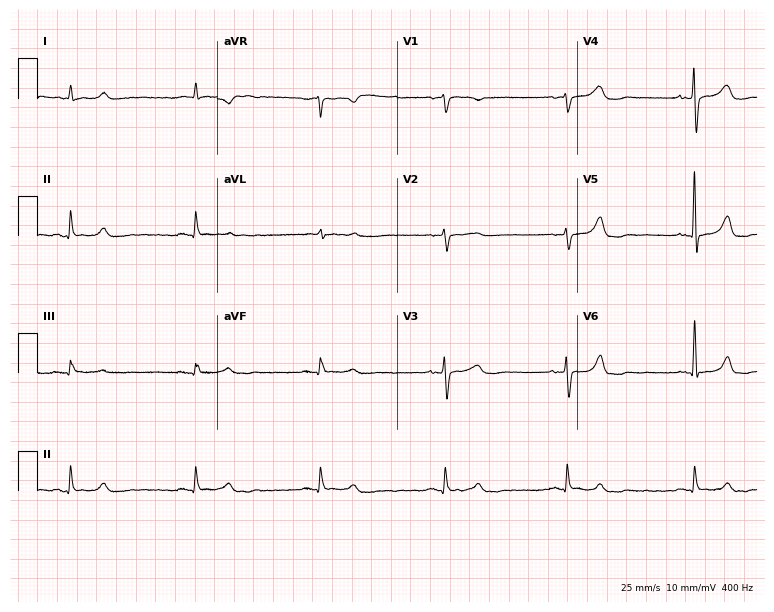
Electrocardiogram (7.3-second recording at 400 Hz), a 77-year-old male patient. Interpretation includes sinus bradycardia (a sinus rate of 50 beats per minute or less).